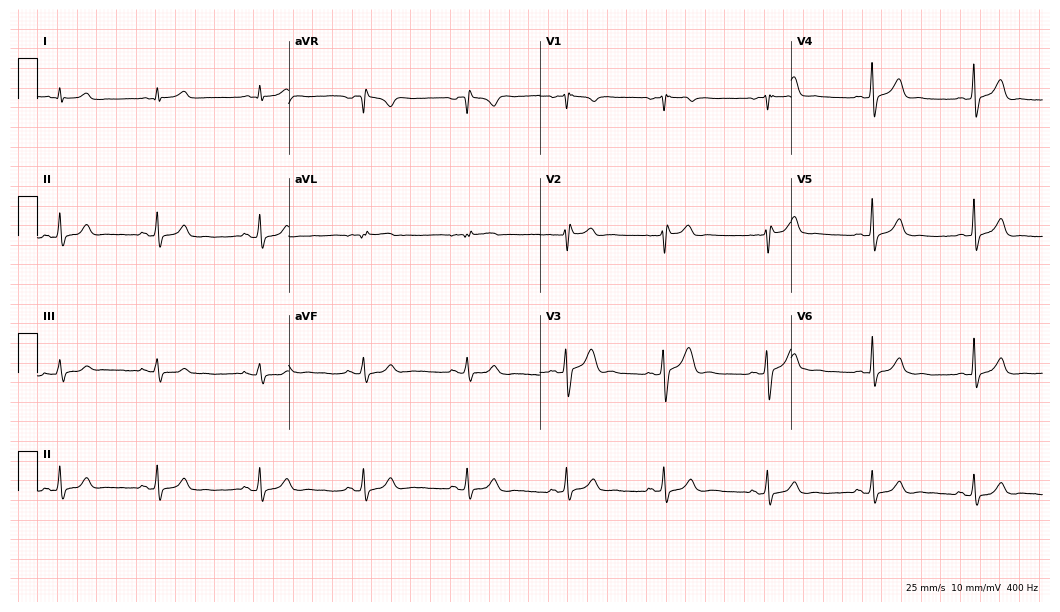
ECG (10.2-second recording at 400 Hz) — a male, 34 years old. Labelled as a normal ECG.